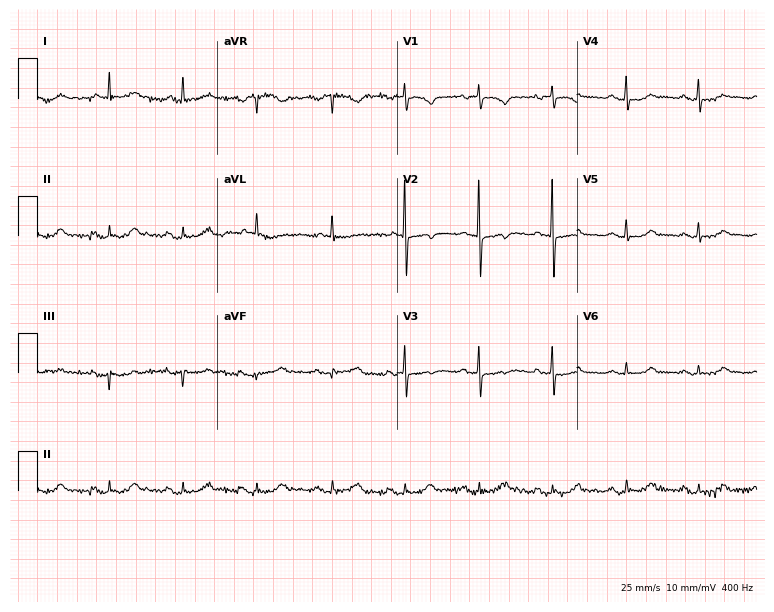
Electrocardiogram, a female, 78 years old. Overall reading on record: normal ECG.